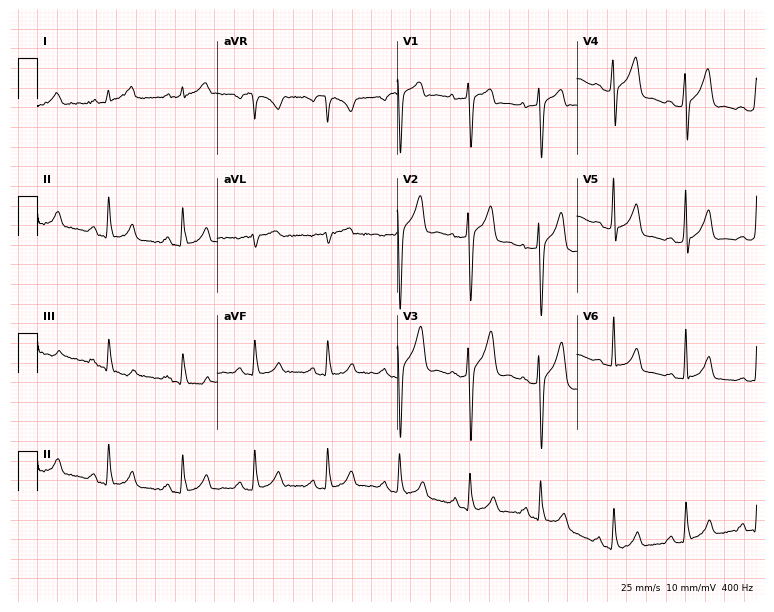
ECG — a 37-year-old male. Screened for six findings — first-degree AV block, right bundle branch block (RBBB), left bundle branch block (LBBB), sinus bradycardia, atrial fibrillation (AF), sinus tachycardia — none is recorded. Only these six findings were labelled.